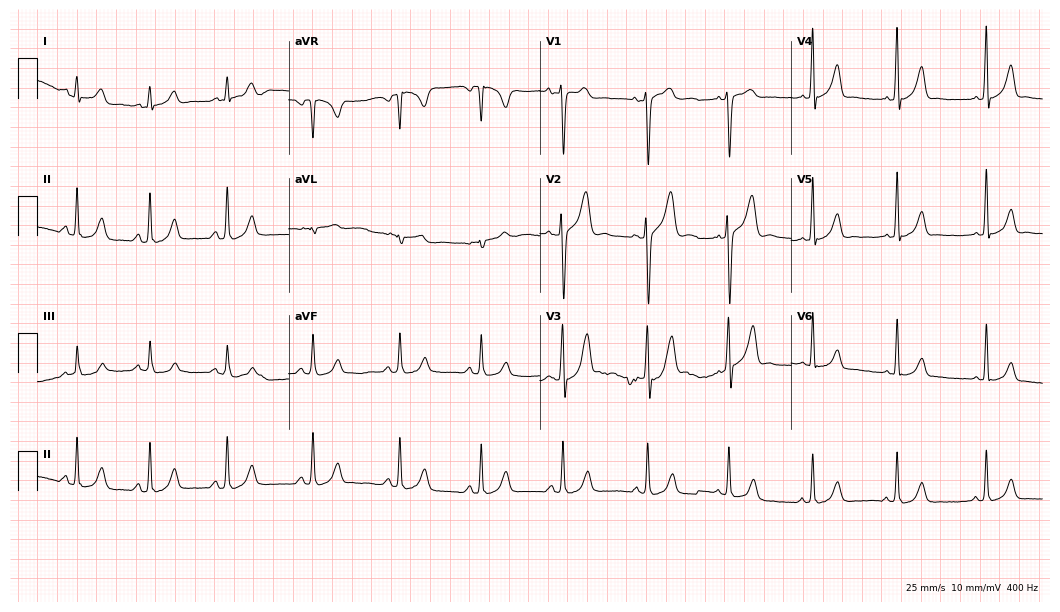
12-lead ECG from a male patient, 18 years old. Recorded interpretation: within normal limits.